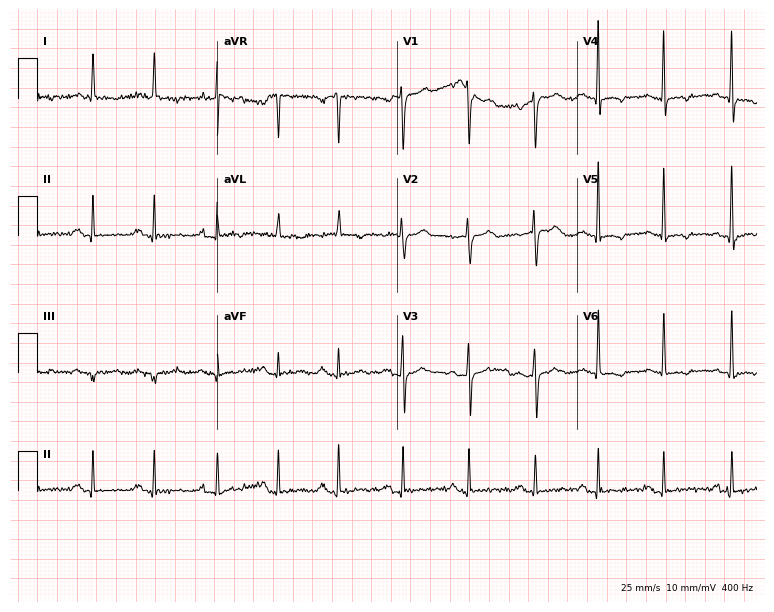
Standard 12-lead ECG recorded from a man, 80 years old. None of these six findings is recorded: first-degree AV block, right bundle branch block, left bundle branch block, sinus bradycardia, atrial fibrillation, sinus tachycardia.